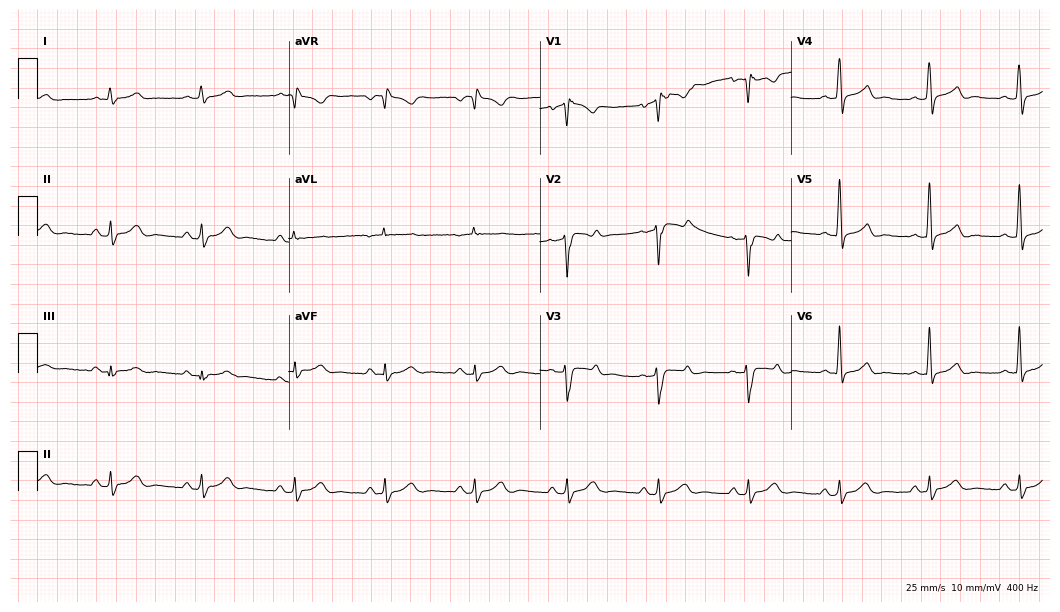
Electrocardiogram, a male, 54 years old. Of the six screened findings (first-degree AV block, right bundle branch block (RBBB), left bundle branch block (LBBB), sinus bradycardia, atrial fibrillation (AF), sinus tachycardia), none is recorded.